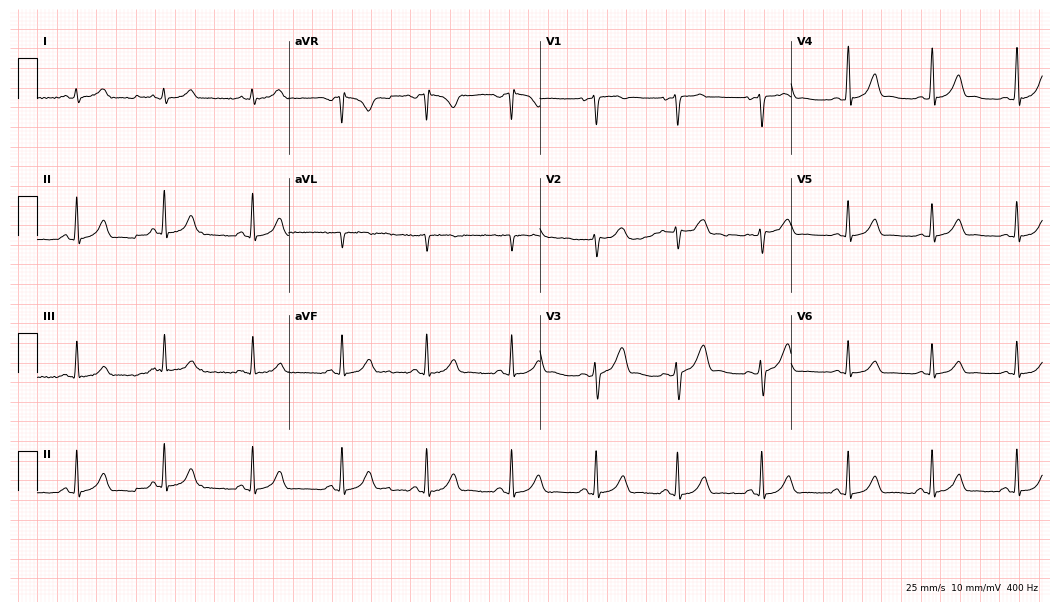
Resting 12-lead electrocardiogram (10.2-second recording at 400 Hz). Patient: a 36-year-old male. Read as a normal ECG.